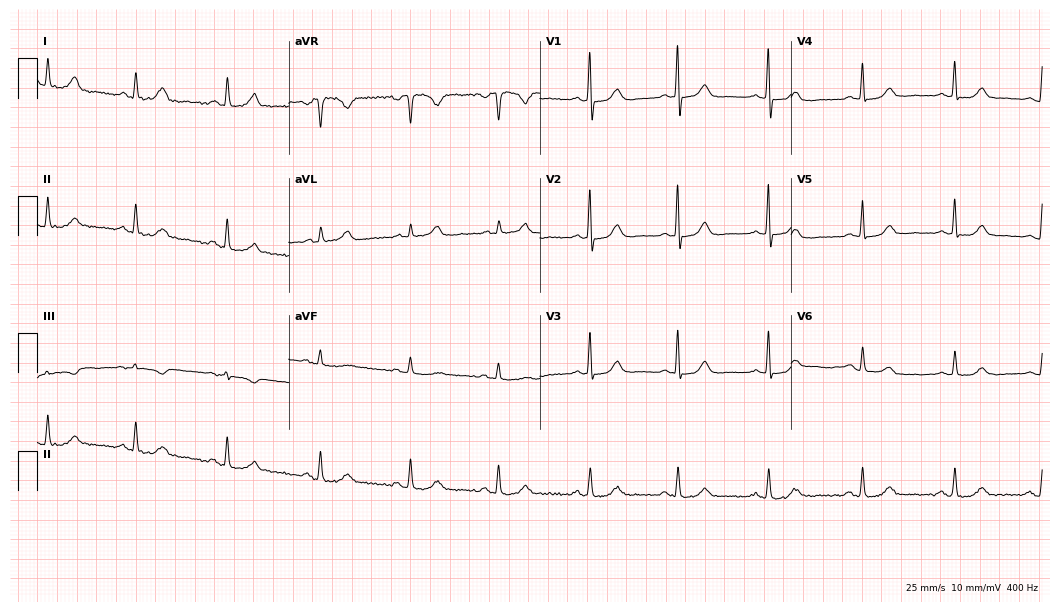
Resting 12-lead electrocardiogram. Patient: a woman, 48 years old. None of these six findings is recorded: first-degree AV block, right bundle branch block, left bundle branch block, sinus bradycardia, atrial fibrillation, sinus tachycardia. Other findings, if any, are not listed.